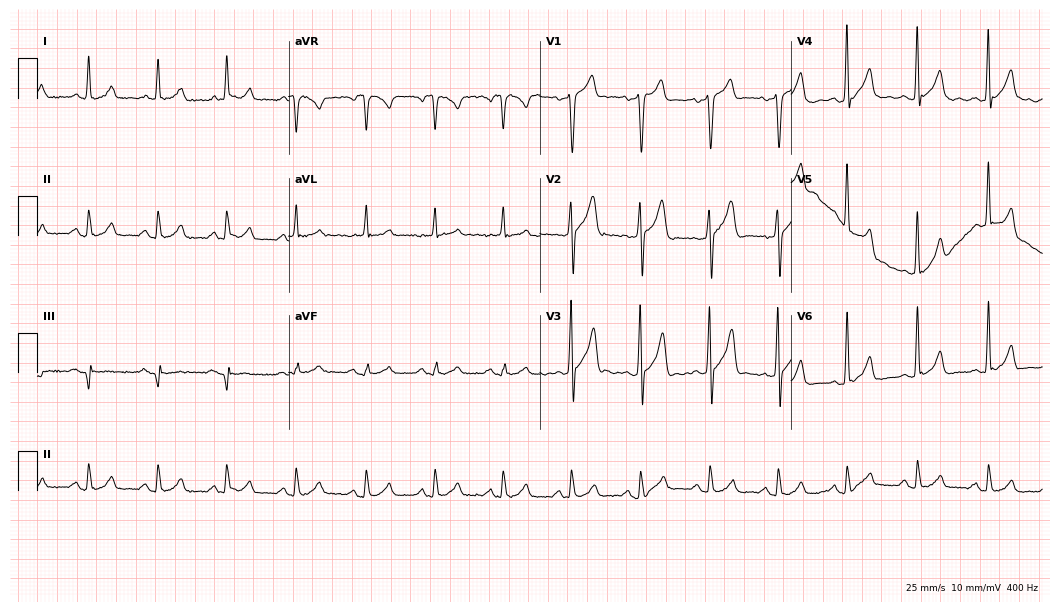
12-lead ECG from a 60-year-old man (10.2-second recording at 400 Hz). Recorded interpretation: within normal limits.